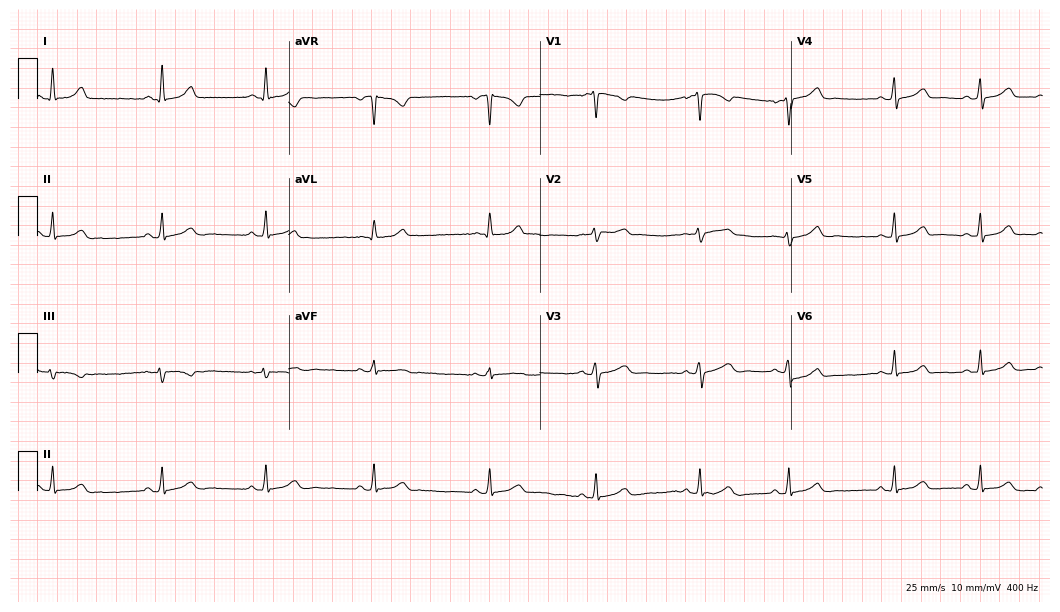
12-lead ECG from a 33-year-old woman. Labelled as a normal ECG.